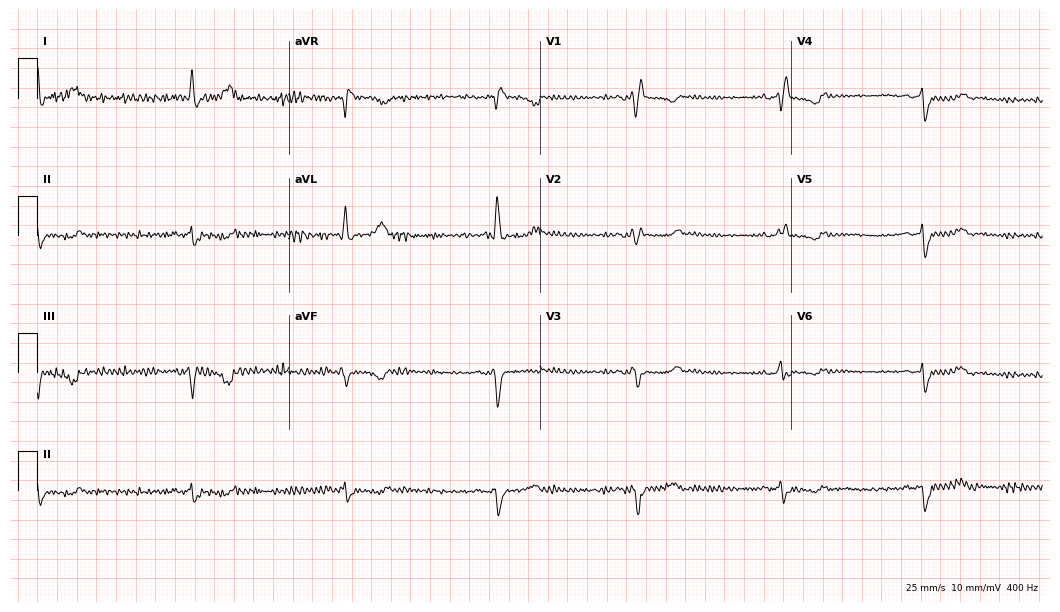
ECG (10.2-second recording at 400 Hz) — a 65-year-old woman. Findings include right bundle branch block, sinus bradycardia (a sinus rate of 50 beats per minute or less).